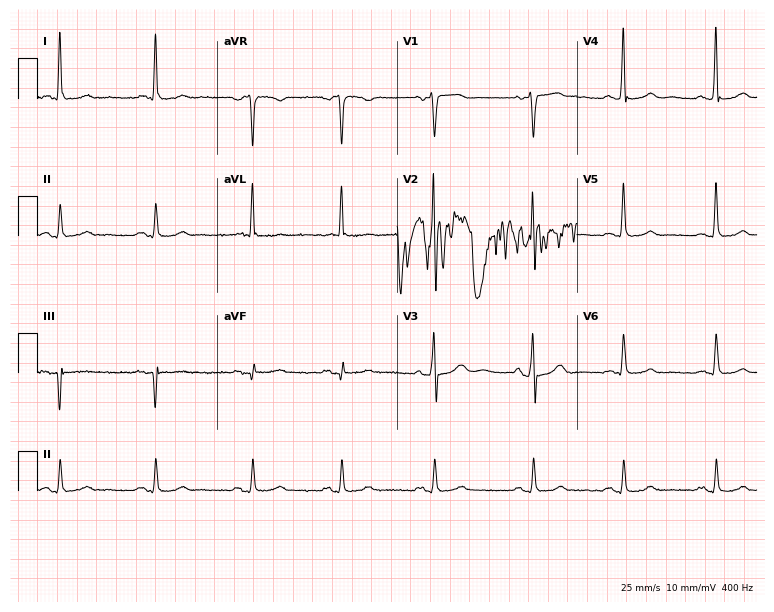
ECG — a male patient, 79 years old. Screened for six findings — first-degree AV block, right bundle branch block, left bundle branch block, sinus bradycardia, atrial fibrillation, sinus tachycardia — none is recorded. Only these six findings were labelled.